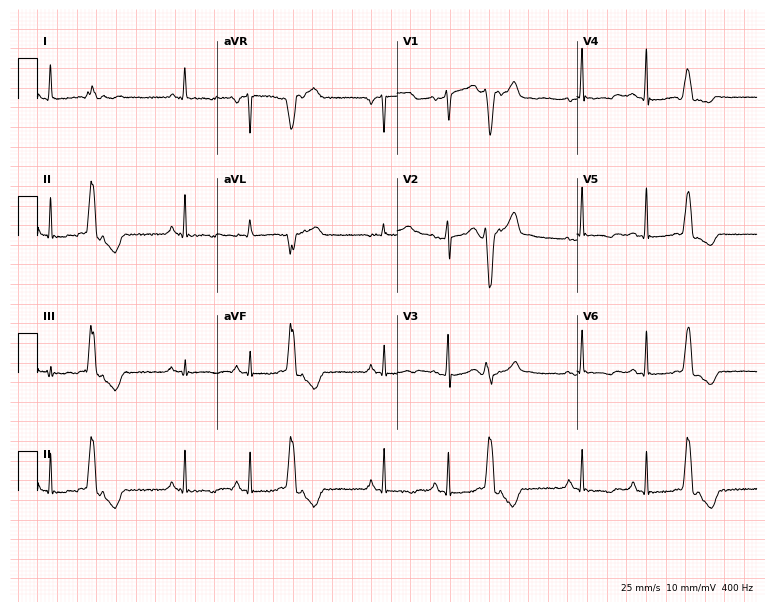
Standard 12-lead ECG recorded from a 57-year-old male. Read as a normal ECG.